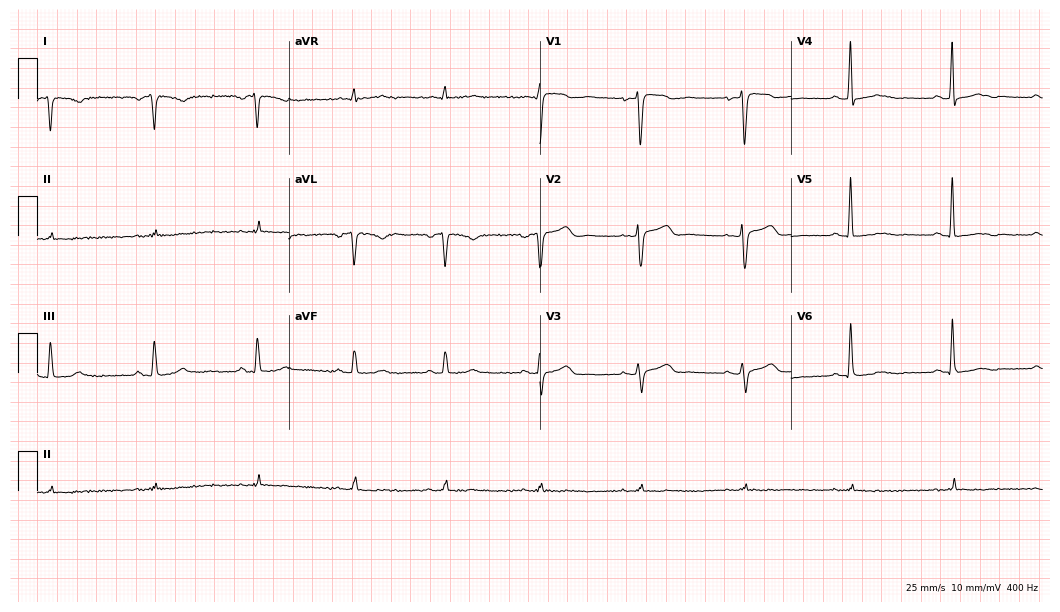
12-lead ECG from a woman, 59 years old (10.2-second recording at 400 Hz). No first-degree AV block, right bundle branch block (RBBB), left bundle branch block (LBBB), sinus bradycardia, atrial fibrillation (AF) or sinus tachycardia recorded for this tracing. Only these six findings were labelled.